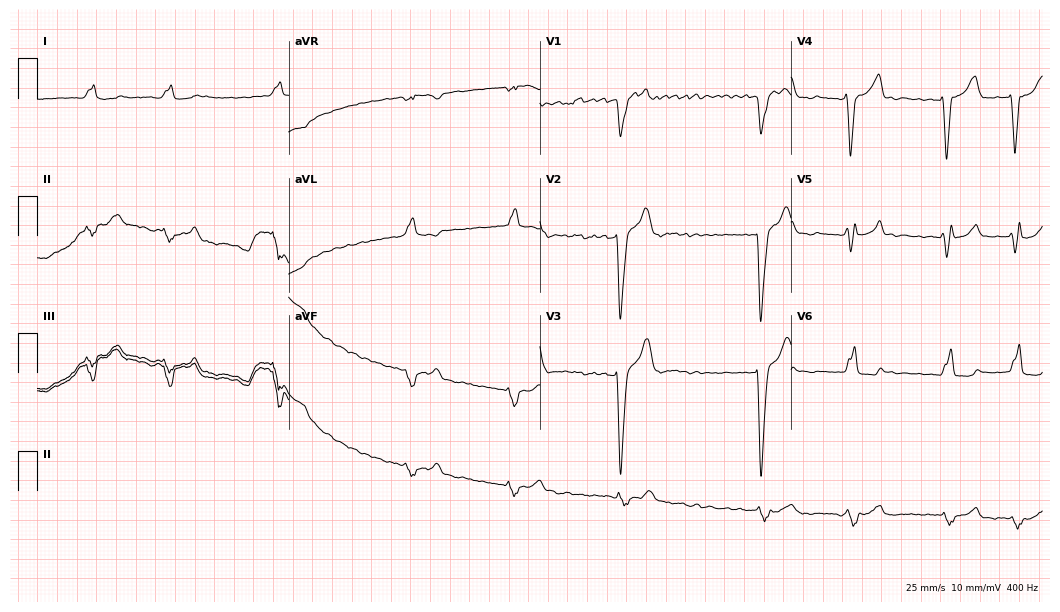
Resting 12-lead electrocardiogram. Patient: a male, 77 years old. The tracing shows left bundle branch block (LBBB), atrial fibrillation (AF).